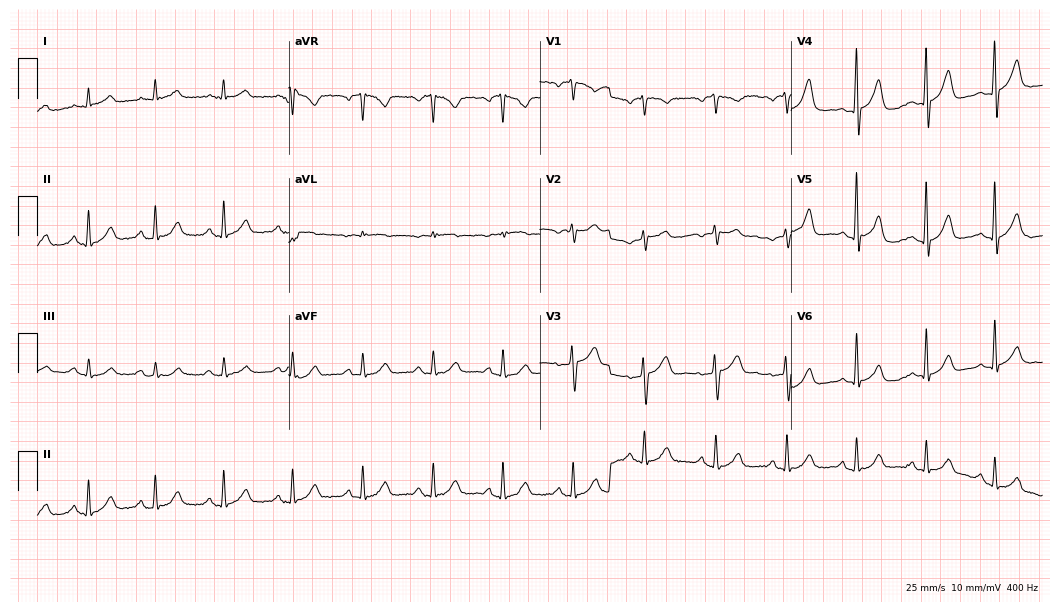
Standard 12-lead ECG recorded from a female, 57 years old. Read as a normal ECG.